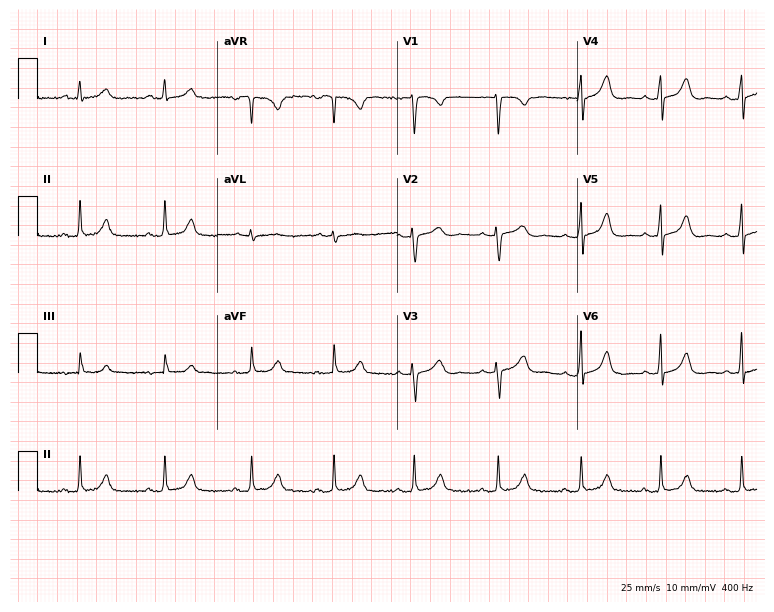
Resting 12-lead electrocardiogram. Patient: a 44-year-old female. None of these six findings is recorded: first-degree AV block, right bundle branch block, left bundle branch block, sinus bradycardia, atrial fibrillation, sinus tachycardia.